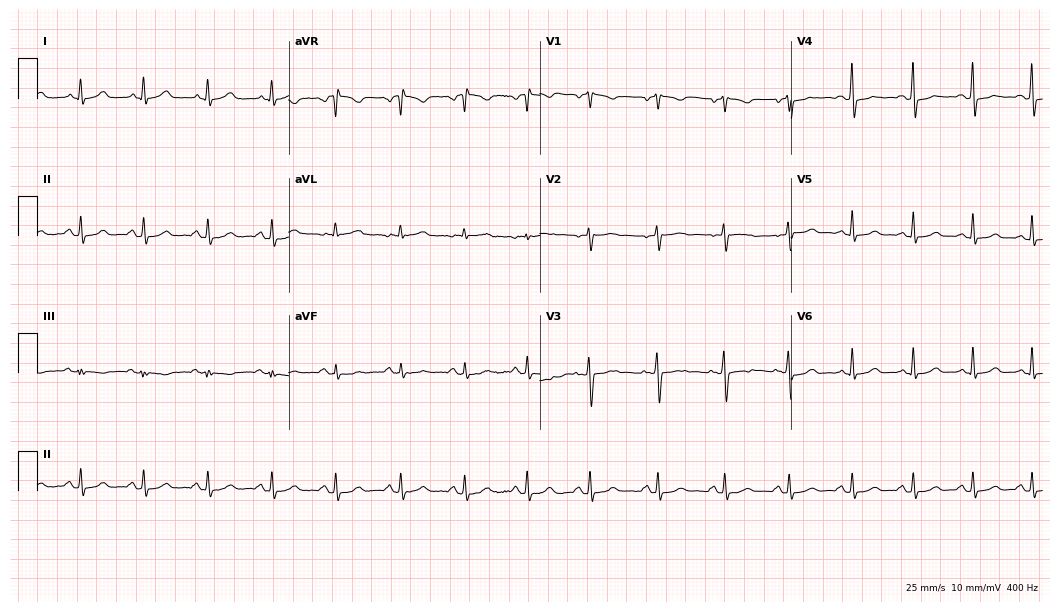
Standard 12-lead ECG recorded from a 48-year-old woman (10.2-second recording at 400 Hz). None of these six findings is recorded: first-degree AV block, right bundle branch block (RBBB), left bundle branch block (LBBB), sinus bradycardia, atrial fibrillation (AF), sinus tachycardia. Only these six findings were labelled.